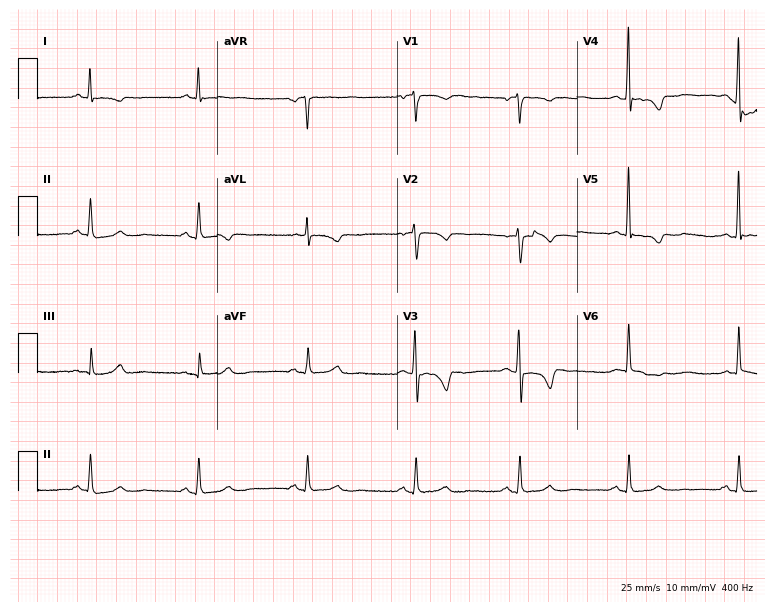
12-lead ECG from a 64-year-old woman. Screened for six findings — first-degree AV block, right bundle branch block, left bundle branch block, sinus bradycardia, atrial fibrillation, sinus tachycardia — none is recorded.